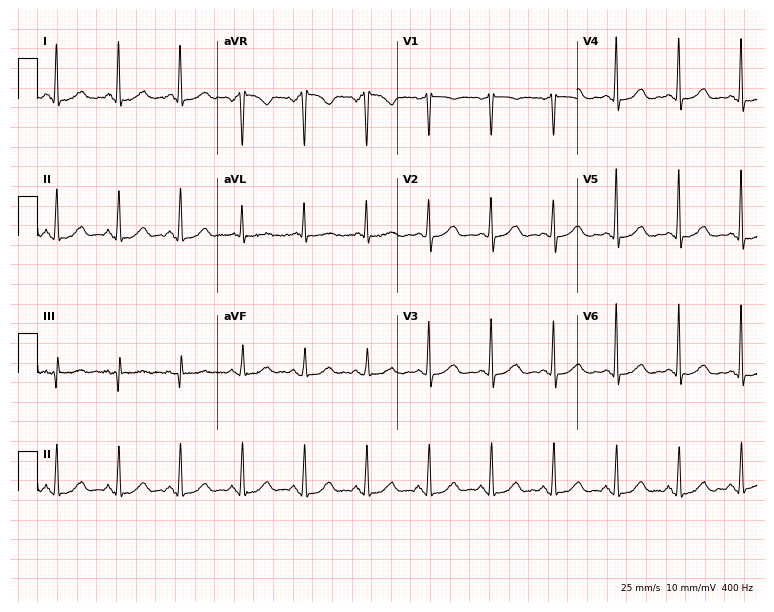
12-lead ECG from a 48-year-old female patient. Recorded interpretation: within normal limits.